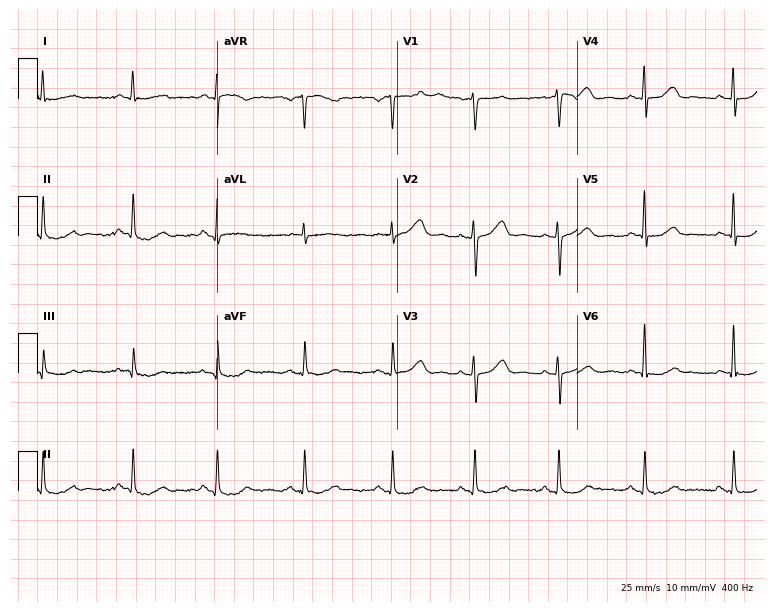
12-lead ECG from a female patient, 51 years old. Labelled as a normal ECG.